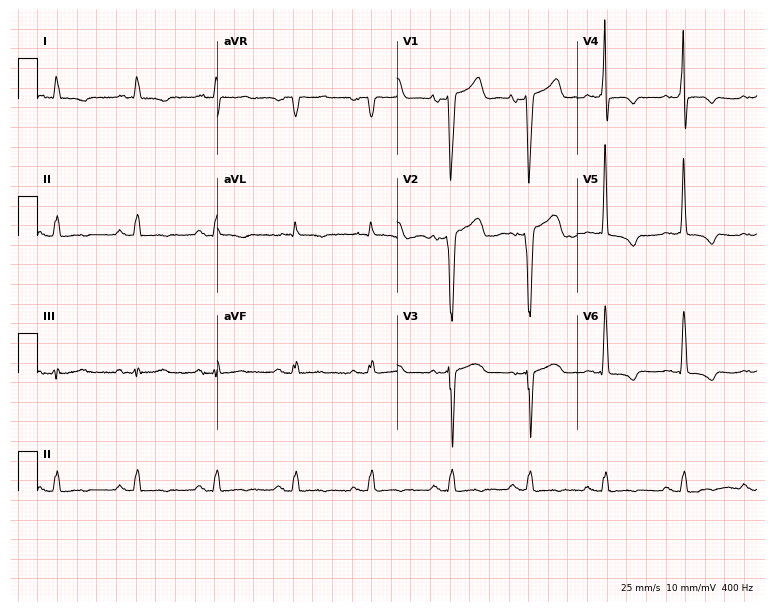
Resting 12-lead electrocardiogram. Patient: a male, 59 years old. None of these six findings is recorded: first-degree AV block, right bundle branch block, left bundle branch block, sinus bradycardia, atrial fibrillation, sinus tachycardia. Findings outside these six are not listed.